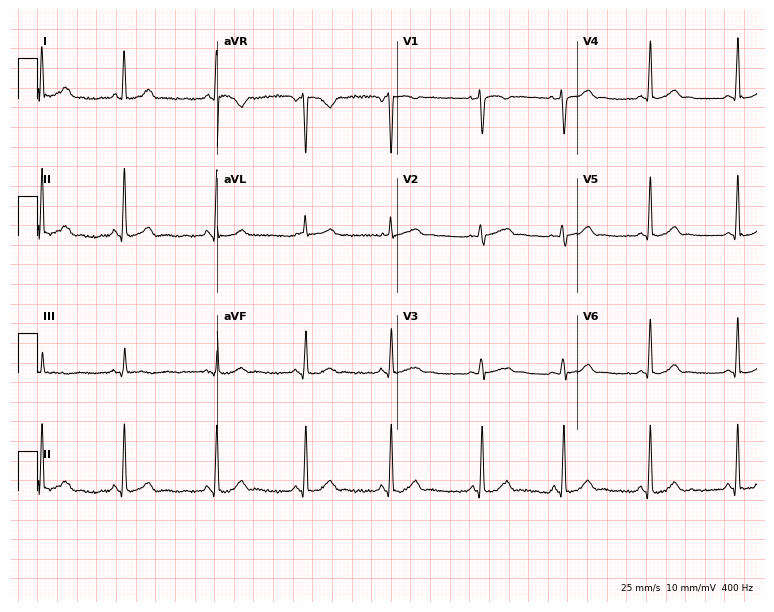
Standard 12-lead ECG recorded from a 19-year-old woman (7.3-second recording at 400 Hz). None of these six findings is recorded: first-degree AV block, right bundle branch block, left bundle branch block, sinus bradycardia, atrial fibrillation, sinus tachycardia.